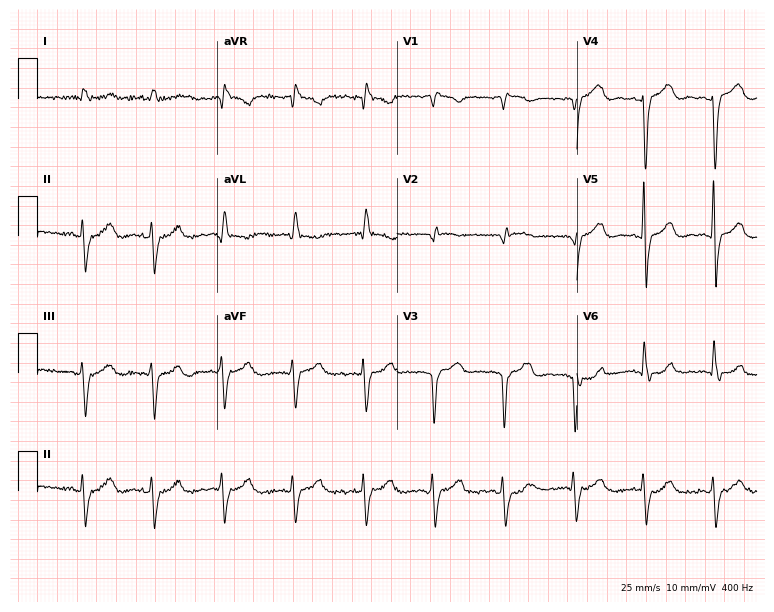
ECG — a man, 83 years old. Screened for six findings — first-degree AV block, right bundle branch block, left bundle branch block, sinus bradycardia, atrial fibrillation, sinus tachycardia — none is recorded.